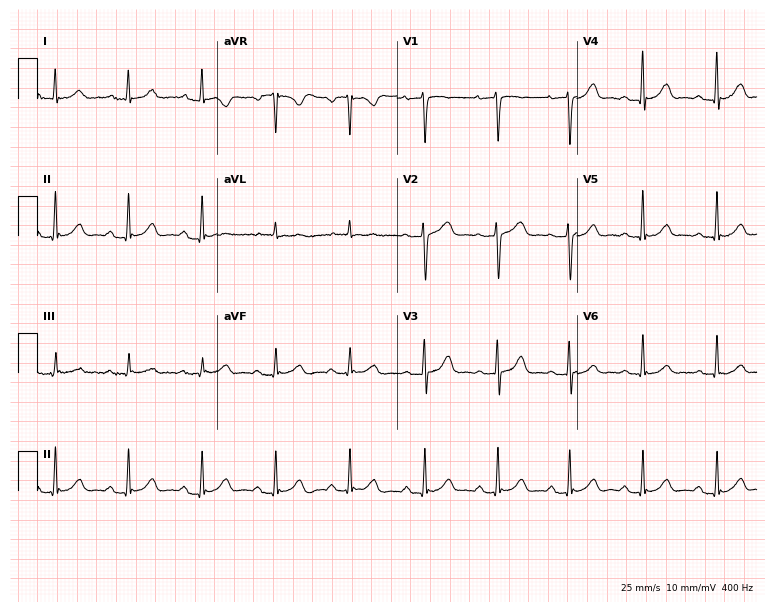
12-lead ECG from a female, 54 years old (7.3-second recording at 400 Hz). No first-degree AV block, right bundle branch block, left bundle branch block, sinus bradycardia, atrial fibrillation or sinus tachycardia recorded for this tracing. Findings outside these six are not listed.